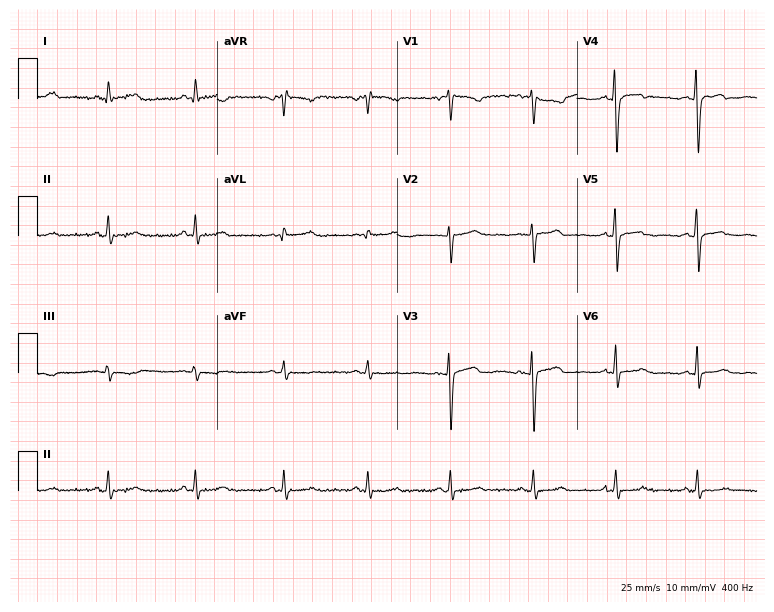
ECG (7.3-second recording at 400 Hz) — a woman, 43 years old. Screened for six findings — first-degree AV block, right bundle branch block, left bundle branch block, sinus bradycardia, atrial fibrillation, sinus tachycardia — none is recorded.